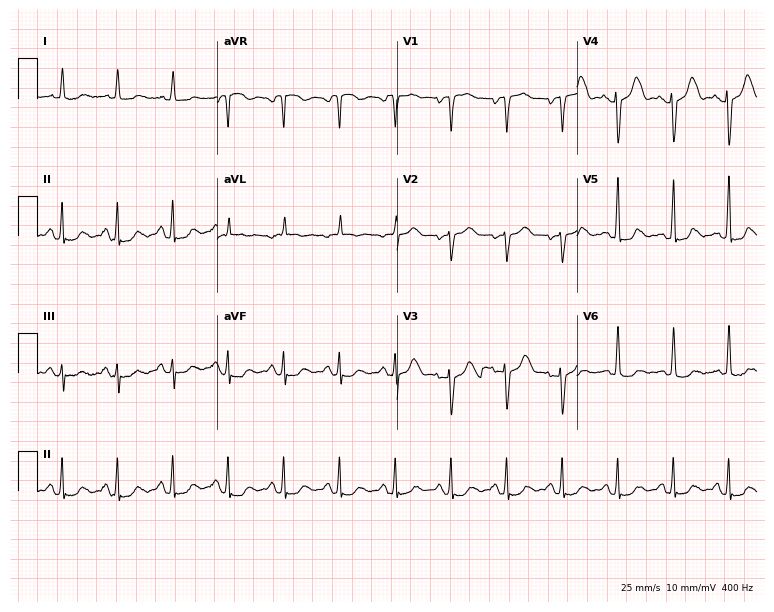
ECG (7.3-second recording at 400 Hz) — an 84-year-old female. Screened for six findings — first-degree AV block, right bundle branch block, left bundle branch block, sinus bradycardia, atrial fibrillation, sinus tachycardia — none is recorded. Only these six findings were labelled.